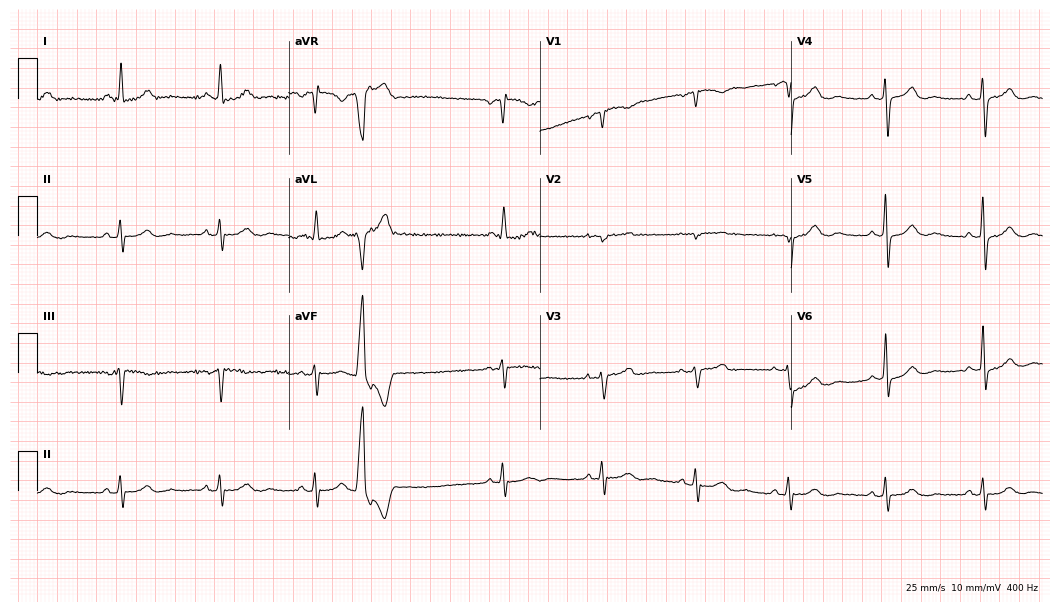
12-lead ECG from a 76-year-old female. Screened for six findings — first-degree AV block, right bundle branch block (RBBB), left bundle branch block (LBBB), sinus bradycardia, atrial fibrillation (AF), sinus tachycardia — none is recorded. Findings outside these six are not listed.